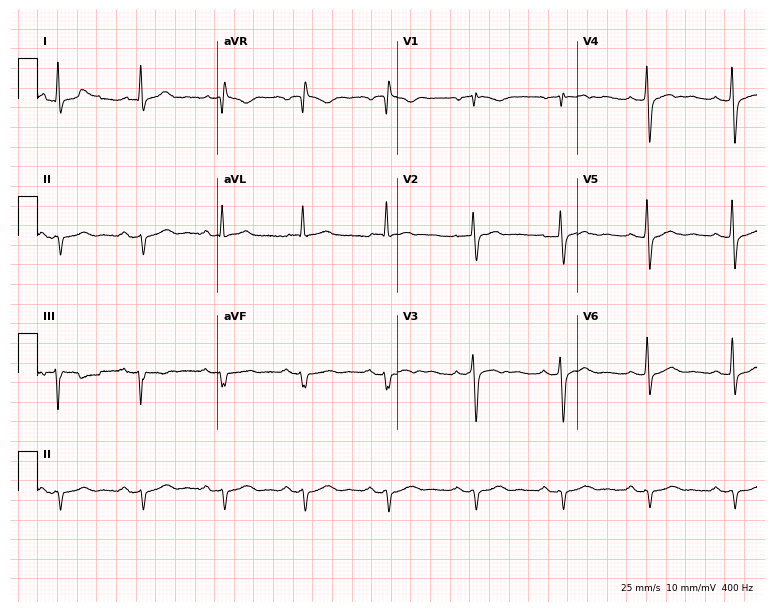
Electrocardiogram (7.3-second recording at 400 Hz), a male patient, 64 years old. Of the six screened findings (first-degree AV block, right bundle branch block (RBBB), left bundle branch block (LBBB), sinus bradycardia, atrial fibrillation (AF), sinus tachycardia), none is recorded.